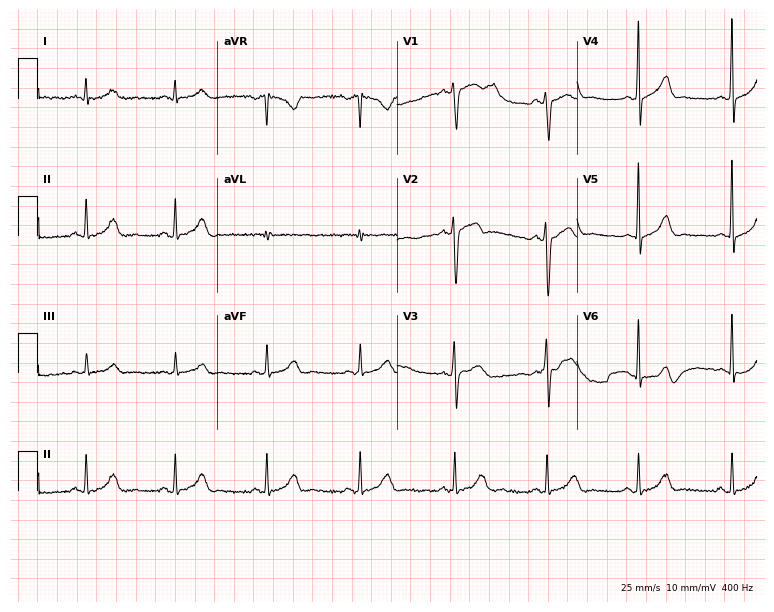
Resting 12-lead electrocardiogram (7.3-second recording at 400 Hz). Patient: a 50-year-old male. Read as a normal ECG.